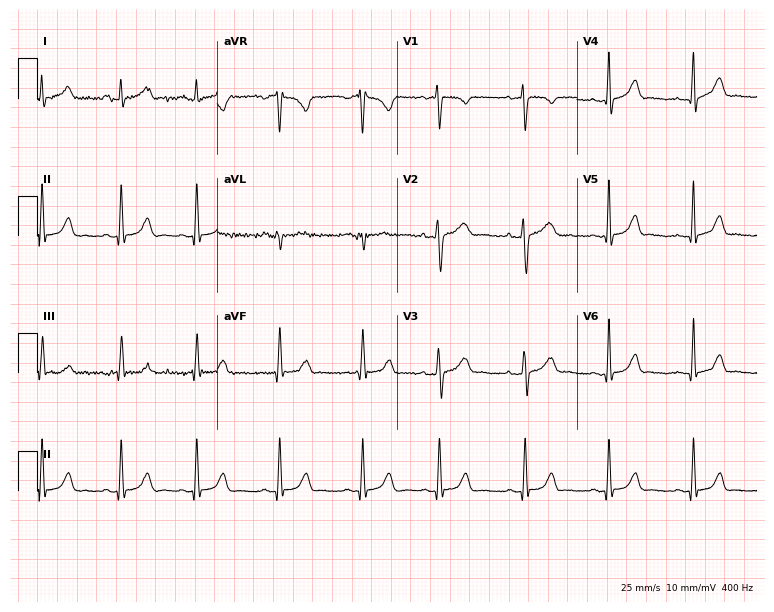
Standard 12-lead ECG recorded from a 19-year-old female patient (7.3-second recording at 400 Hz). Read as a normal ECG.